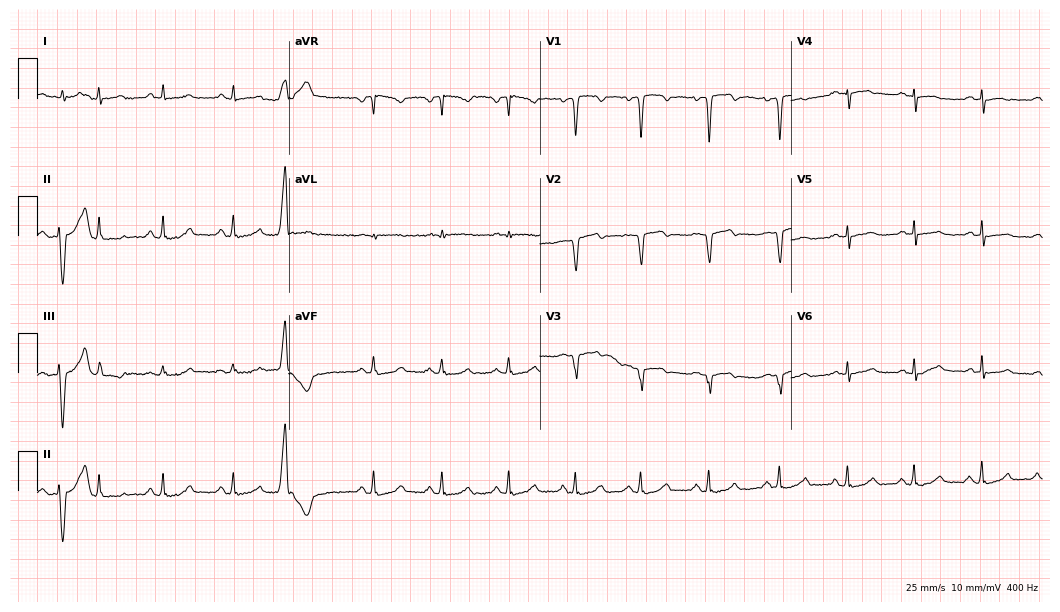
12-lead ECG from a 53-year-old woman (10.2-second recording at 400 Hz). No first-degree AV block, right bundle branch block (RBBB), left bundle branch block (LBBB), sinus bradycardia, atrial fibrillation (AF) or sinus tachycardia recorded for this tracing. Other findings, if any, are not listed.